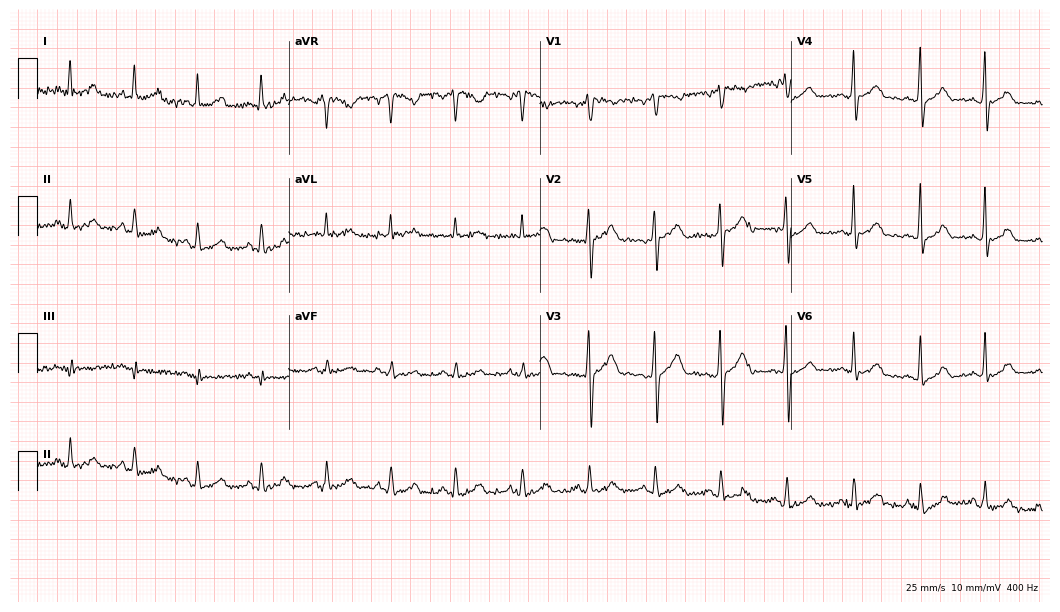
ECG — a female, 37 years old. Labelled as a normal ECG.